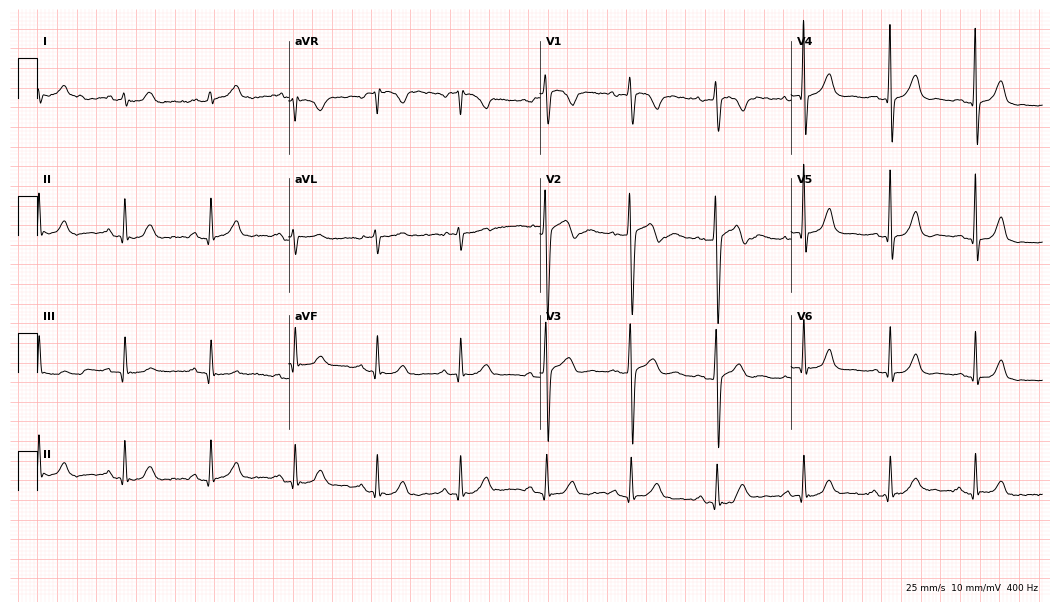
ECG — a male, 55 years old. Labelled as a normal ECG.